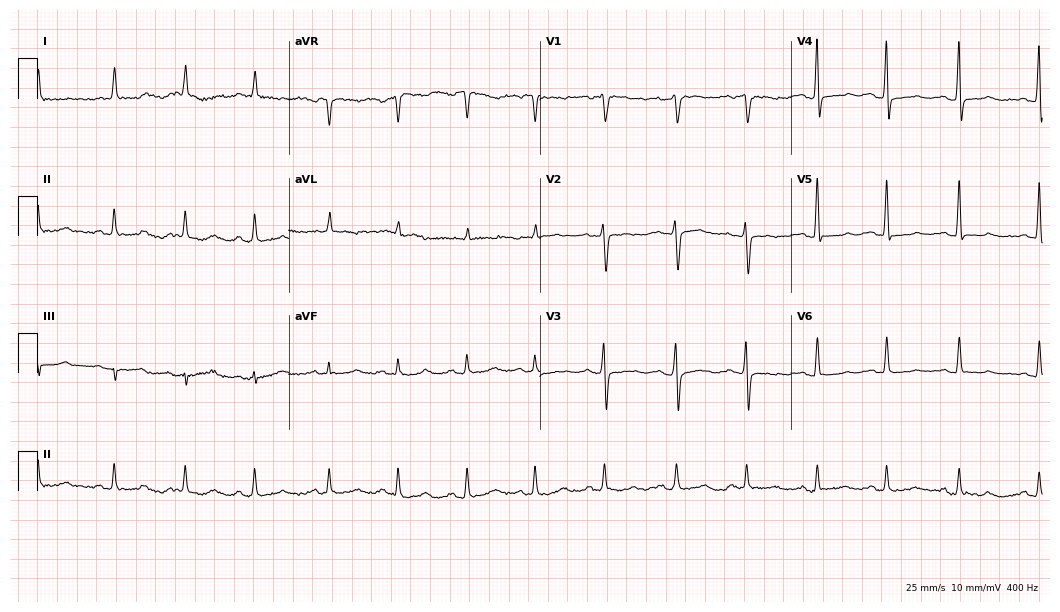
12-lead ECG from a male patient, 77 years old. No first-degree AV block, right bundle branch block, left bundle branch block, sinus bradycardia, atrial fibrillation or sinus tachycardia recorded for this tracing.